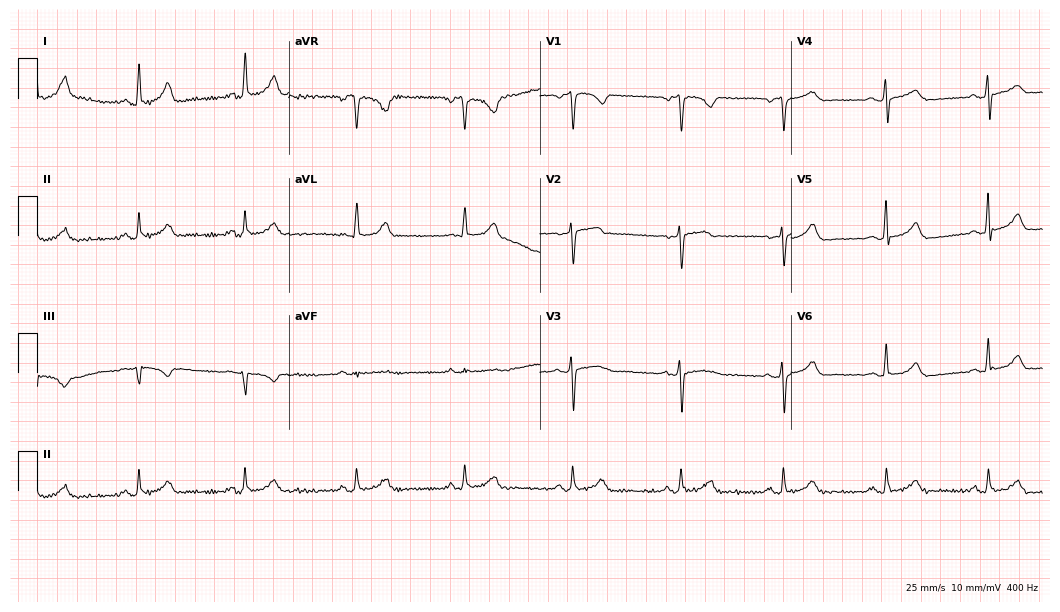
12-lead ECG from a 53-year-old woman (10.2-second recording at 400 Hz). Recorded interpretation: within normal limits.